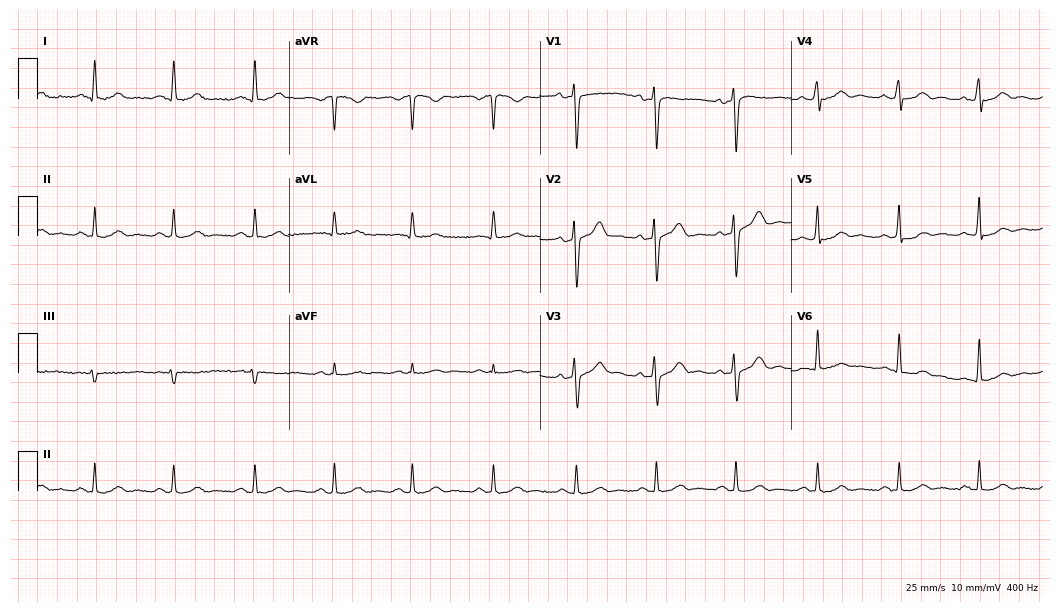
Standard 12-lead ECG recorded from a male, 42 years old. Read as a normal ECG.